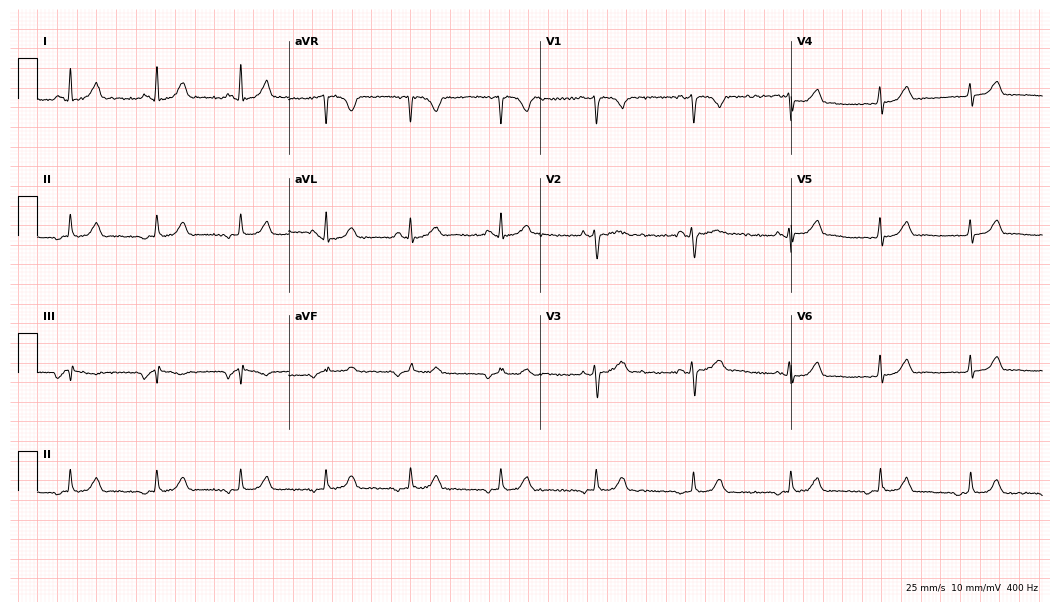
12-lead ECG from a female, 43 years old. No first-degree AV block, right bundle branch block, left bundle branch block, sinus bradycardia, atrial fibrillation or sinus tachycardia recorded for this tracing. Findings outside these six are not listed.